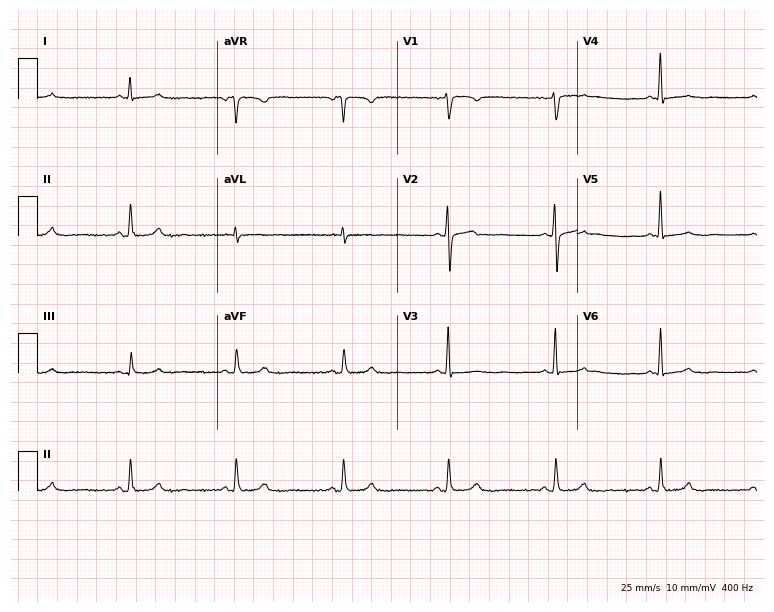
12-lead ECG from a female, 39 years old (7.3-second recording at 400 Hz). No first-degree AV block, right bundle branch block, left bundle branch block, sinus bradycardia, atrial fibrillation or sinus tachycardia recorded for this tracing. Only these six findings were labelled.